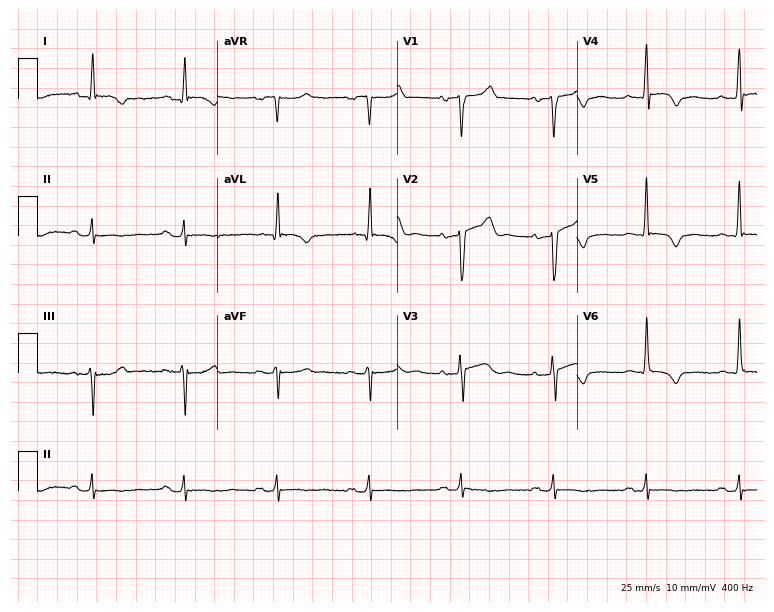
12-lead ECG from a 62-year-old male patient (7.3-second recording at 400 Hz). No first-degree AV block, right bundle branch block, left bundle branch block, sinus bradycardia, atrial fibrillation or sinus tachycardia recorded for this tracing.